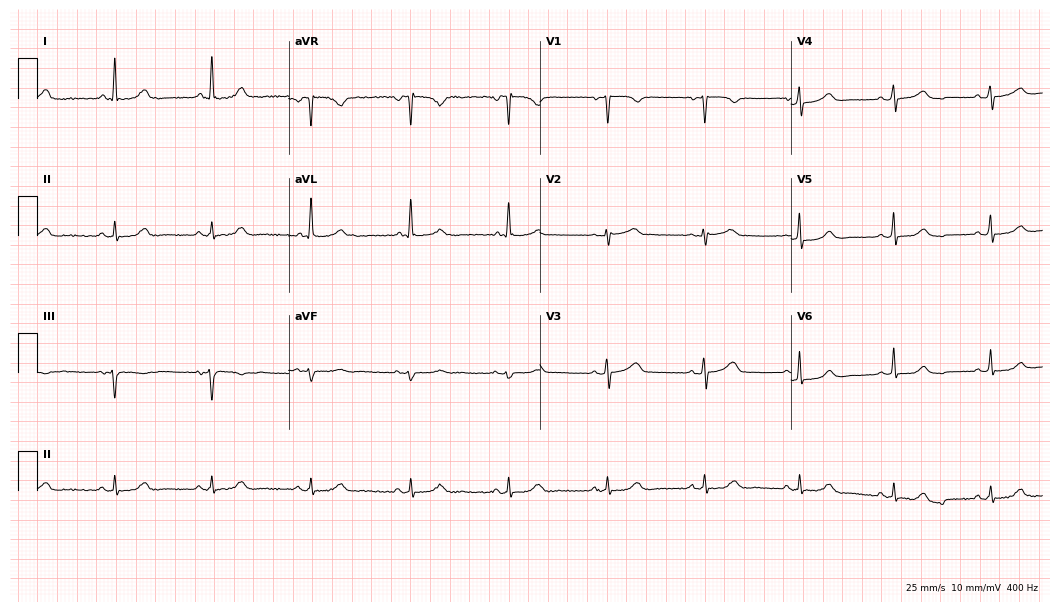
Standard 12-lead ECG recorded from a 62-year-old female. Read as a normal ECG.